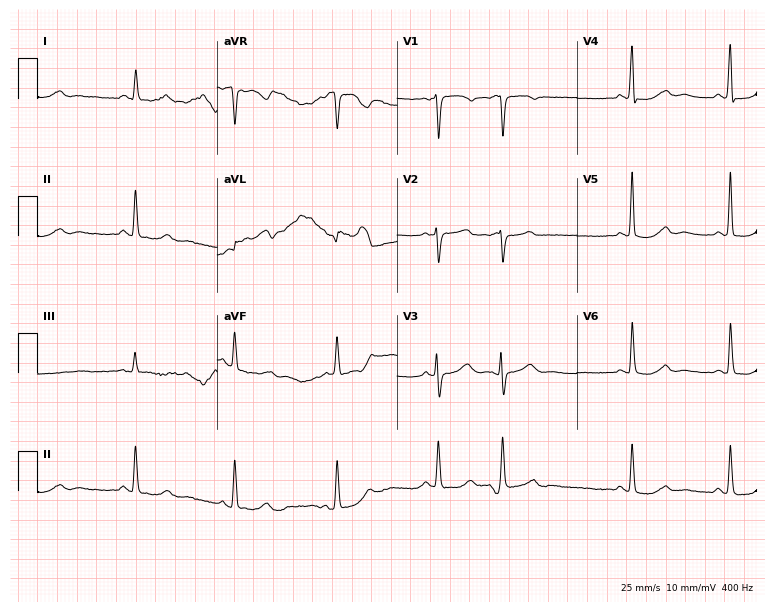
ECG — a 66-year-old female. Screened for six findings — first-degree AV block, right bundle branch block (RBBB), left bundle branch block (LBBB), sinus bradycardia, atrial fibrillation (AF), sinus tachycardia — none is recorded.